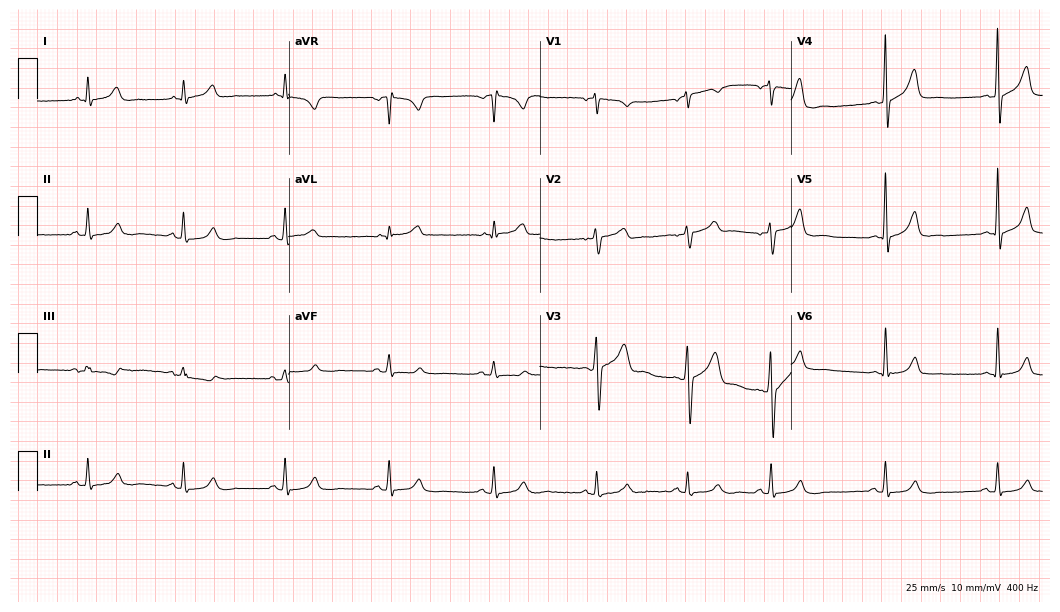
Standard 12-lead ECG recorded from a male, 45 years old. Read as a normal ECG.